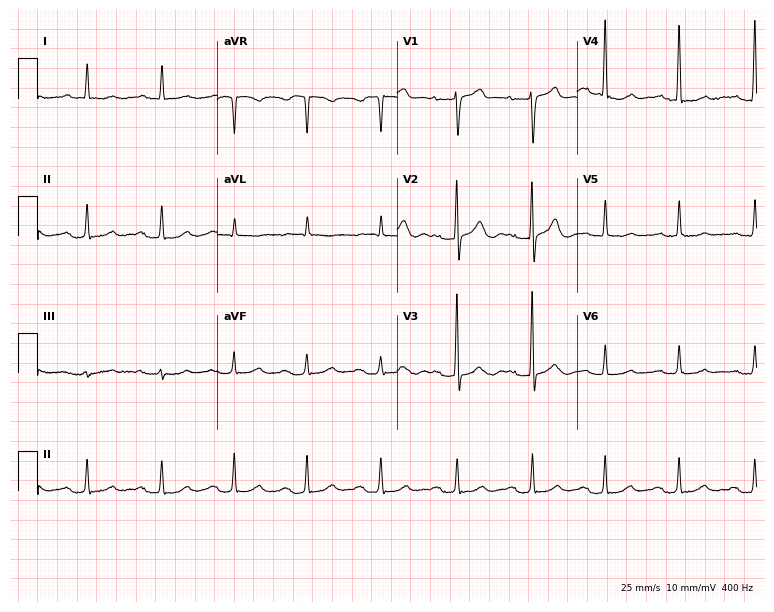
Electrocardiogram (7.3-second recording at 400 Hz), a 78-year-old male patient. Of the six screened findings (first-degree AV block, right bundle branch block, left bundle branch block, sinus bradycardia, atrial fibrillation, sinus tachycardia), none is recorded. Other findings, if any, are not listed.